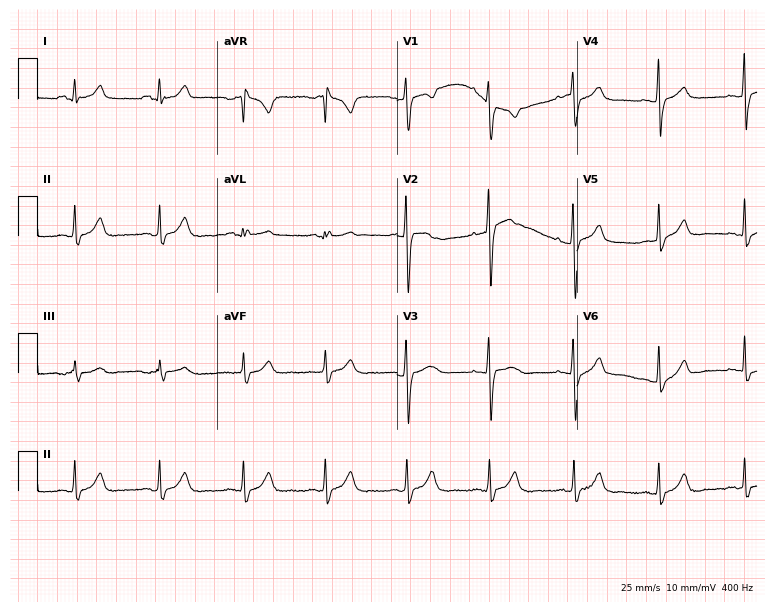
12-lead ECG from a woman, 29 years old. Recorded interpretation: within normal limits.